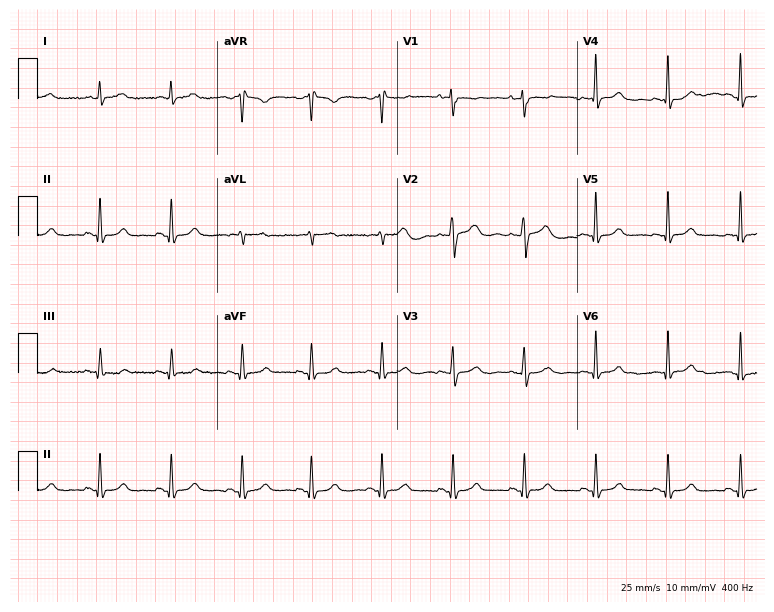
12-lead ECG from a 34-year-old woman (7.3-second recording at 400 Hz). Recorded interpretation: within normal limits.